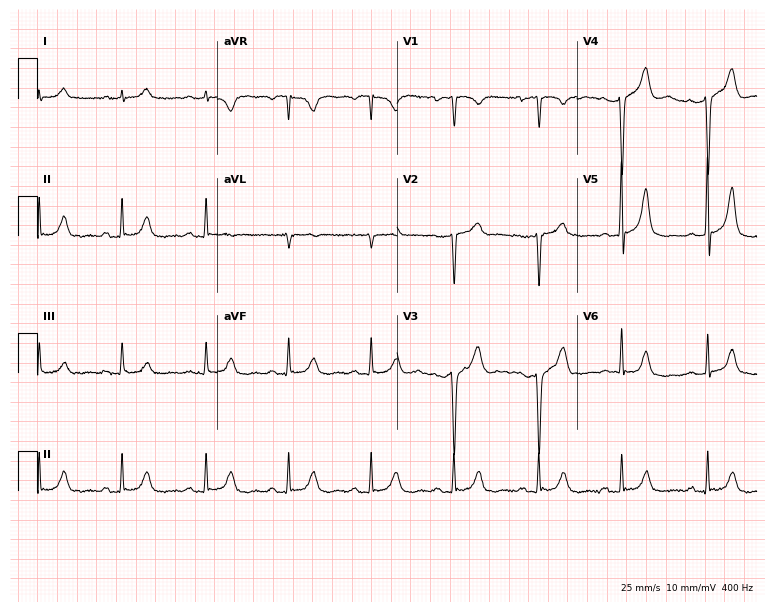
12-lead ECG (7.3-second recording at 400 Hz) from a 71-year-old woman. Labelled as a normal ECG.